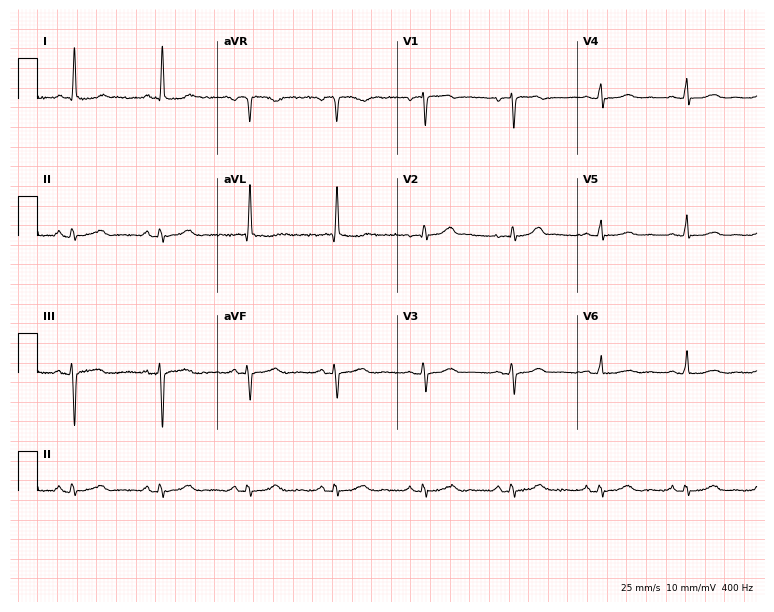
ECG — a 56-year-old female. Screened for six findings — first-degree AV block, right bundle branch block, left bundle branch block, sinus bradycardia, atrial fibrillation, sinus tachycardia — none is recorded.